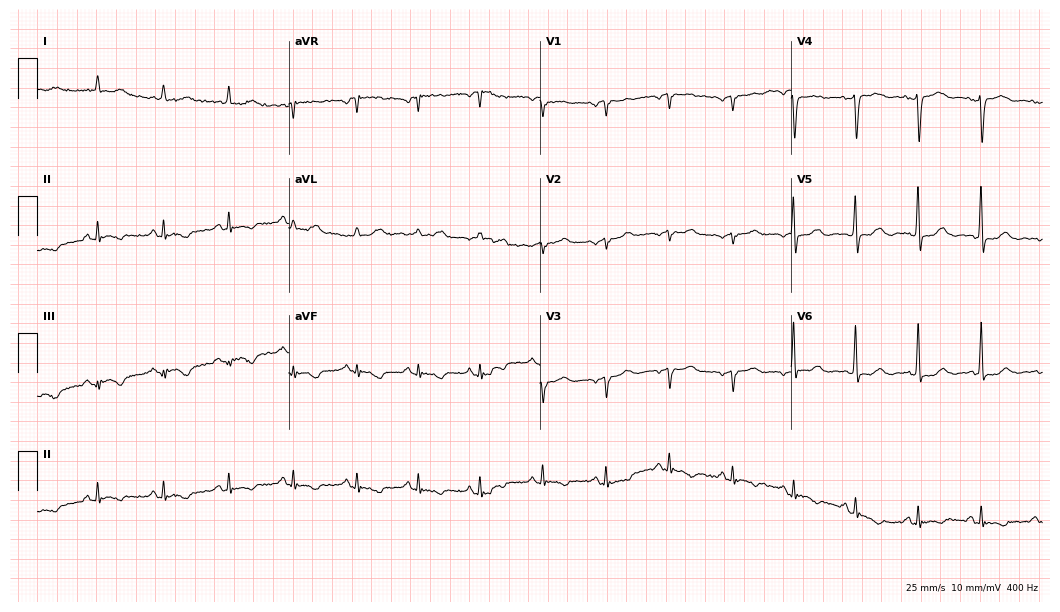
Electrocardiogram (10.2-second recording at 400 Hz), a 71-year-old woman. Of the six screened findings (first-degree AV block, right bundle branch block, left bundle branch block, sinus bradycardia, atrial fibrillation, sinus tachycardia), none is recorded. Only these six findings were labelled.